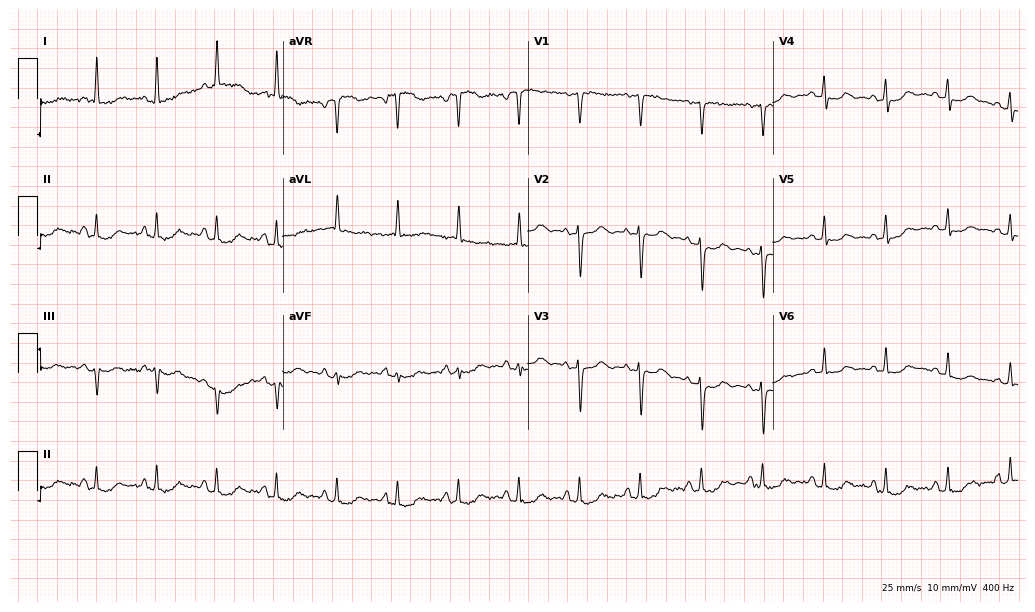
12-lead ECG from a female, 66 years old (10-second recording at 400 Hz). No first-degree AV block, right bundle branch block (RBBB), left bundle branch block (LBBB), sinus bradycardia, atrial fibrillation (AF) or sinus tachycardia recorded for this tracing. Findings outside these six are not listed.